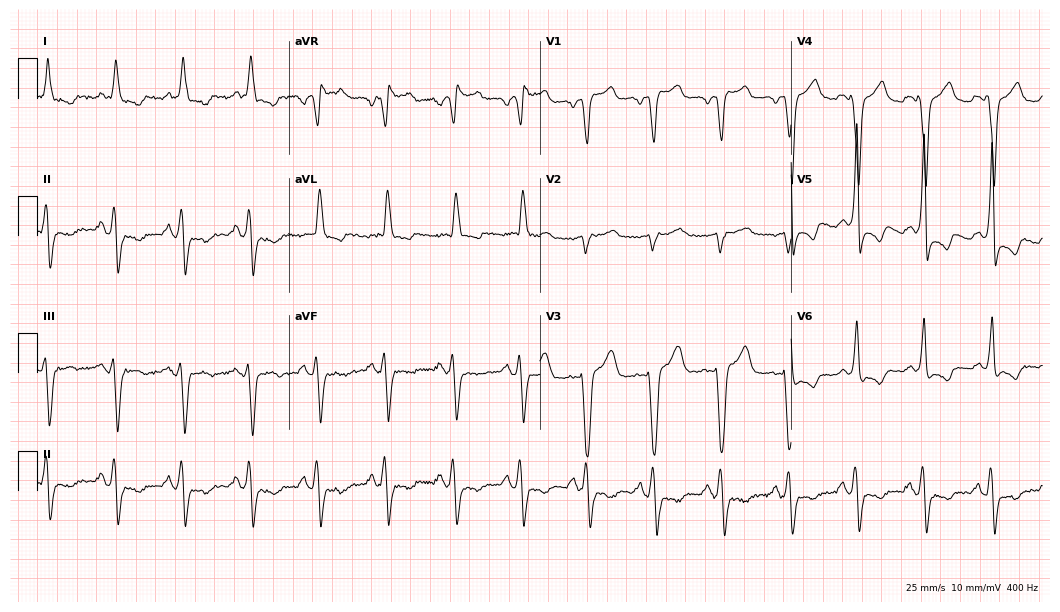
12-lead ECG from a 73-year-old male patient. Shows left bundle branch block (LBBB).